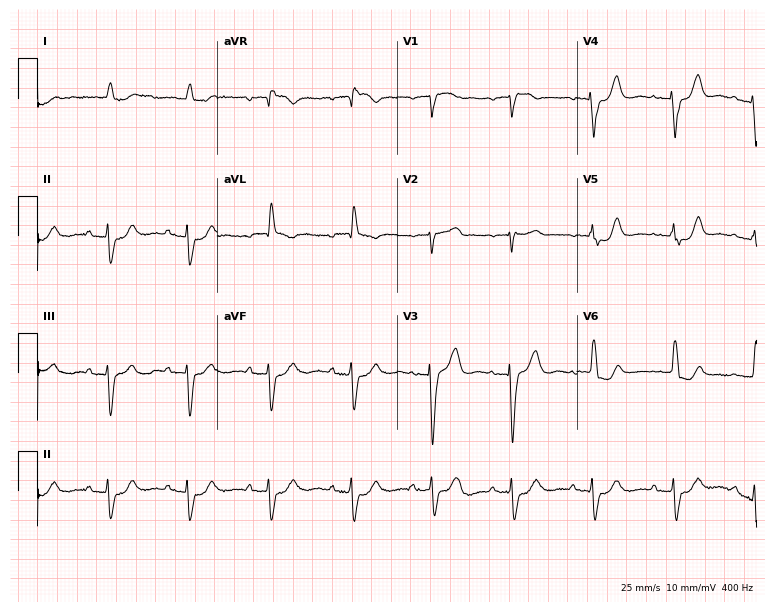
Electrocardiogram, a man, 82 years old. Interpretation includes first-degree AV block.